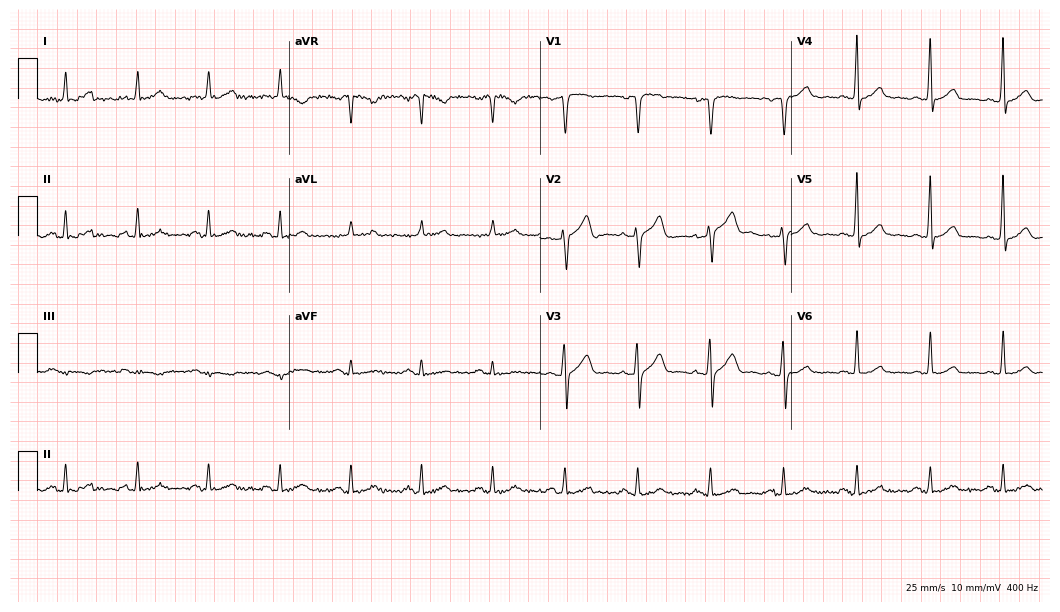
Electrocardiogram, a 64-year-old male. Overall reading on record: normal ECG.